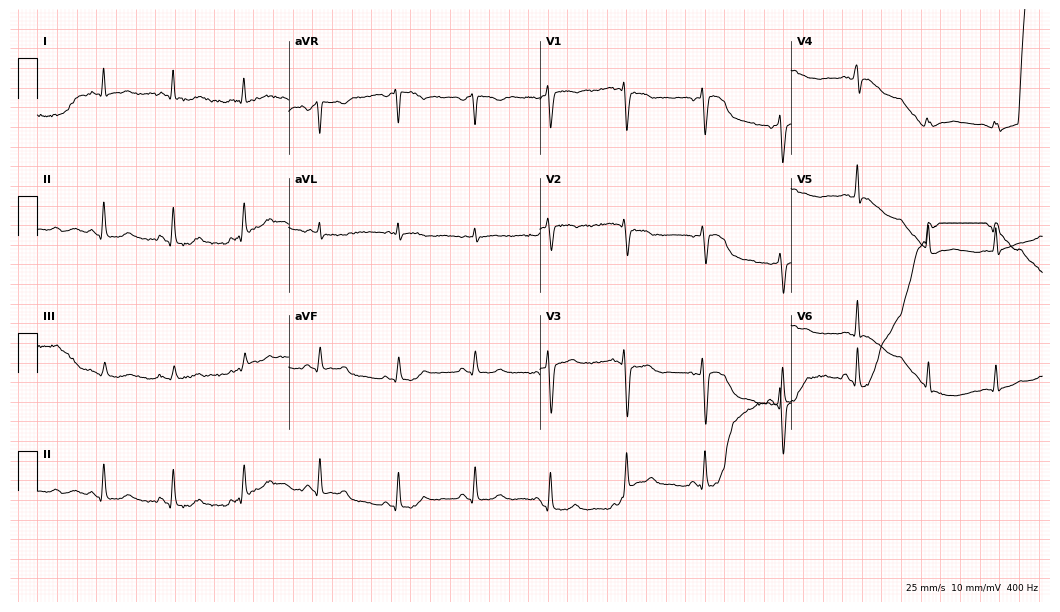
12-lead ECG from a woman, 45 years old. Screened for six findings — first-degree AV block, right bundle branch block, left bundle branch block, sinus bradycardia, atrial fibrillation, sinus tachycardia — none is recorded. Only these six findings were labelled.